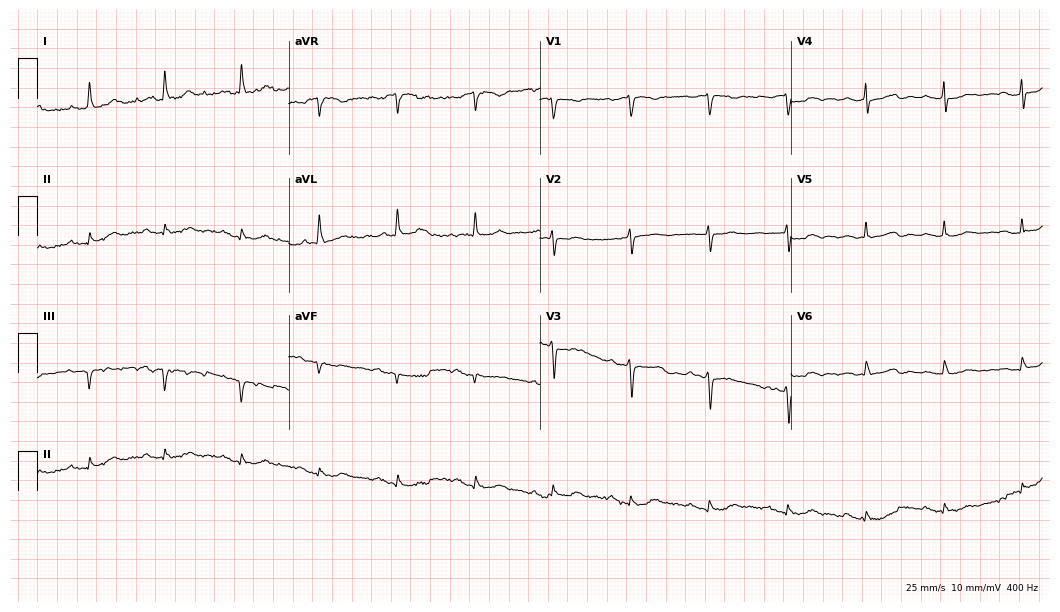
Standard 12-lead ECG recorded from a 72-year-old female (10.2-second recording at 400 Hz). None of these six findings is recorded: first-degree AV block, right bundle branch block (RBBB), left bundle branch block (LBBB), sinus bradycardia, atrial fibrillation (AF), sinus tachycardia.